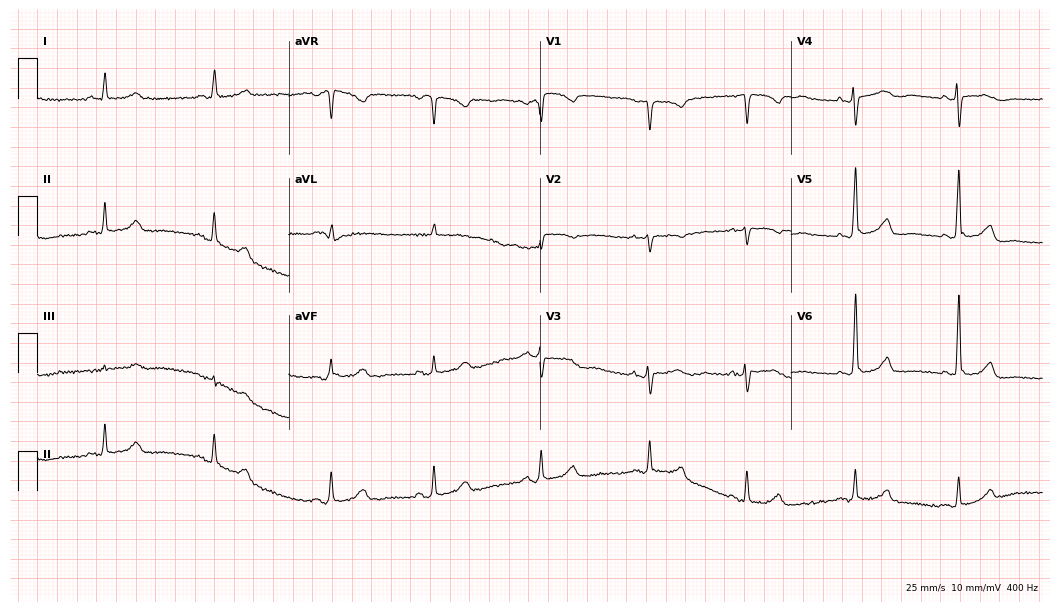
Resting 12-lead electrocardiogram. Patient: a female, 63 years old. None of these six findings is recorded: first-degree AV block, right bundle branch block, left bundle branch block, sinus bradycardia, atrial fibrillation, sinus tachycardia. Findings outside these six are not listed.